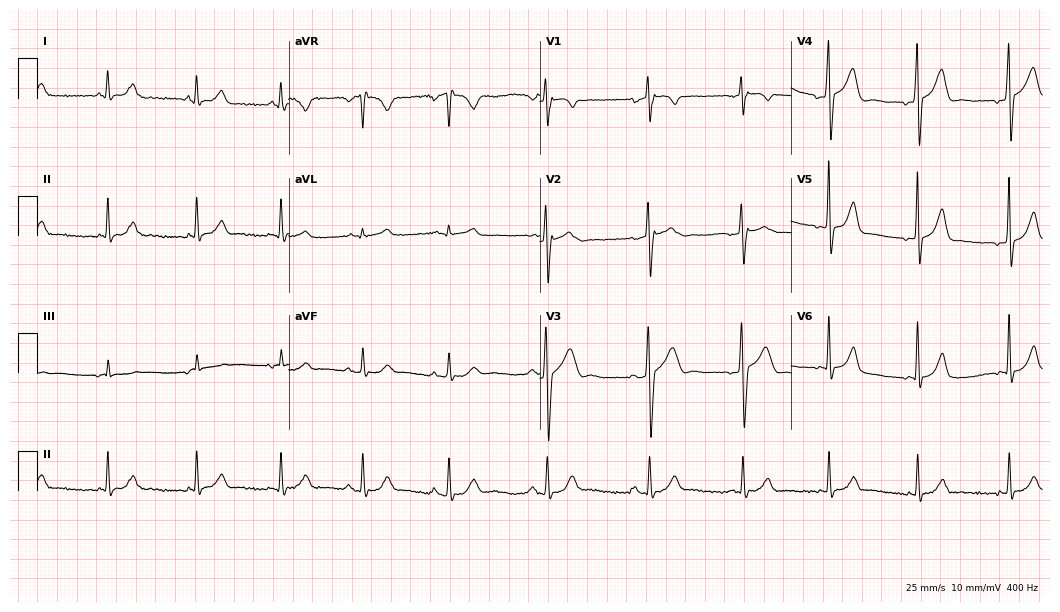
Resting 12-lead electrocardiogram (10.2-second recording at 400 Hz). Patient: a 37-year-old man. None of these six findings is recorded: first-degree AV block, right bundle branch block, left bundle branch block, sinus bradycardia, atrial fibrillation, sinus tachycardia.